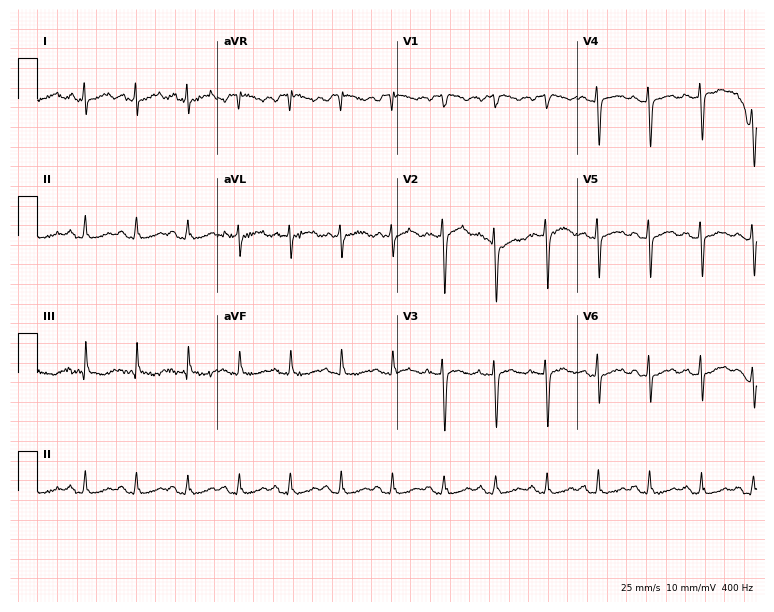
12-lead ECG (7.3-second recording at 400 Hz) from a female patient, 27 years old. Findings include sinus tachycardia (a sinus rate of 100 beats per minute or more).